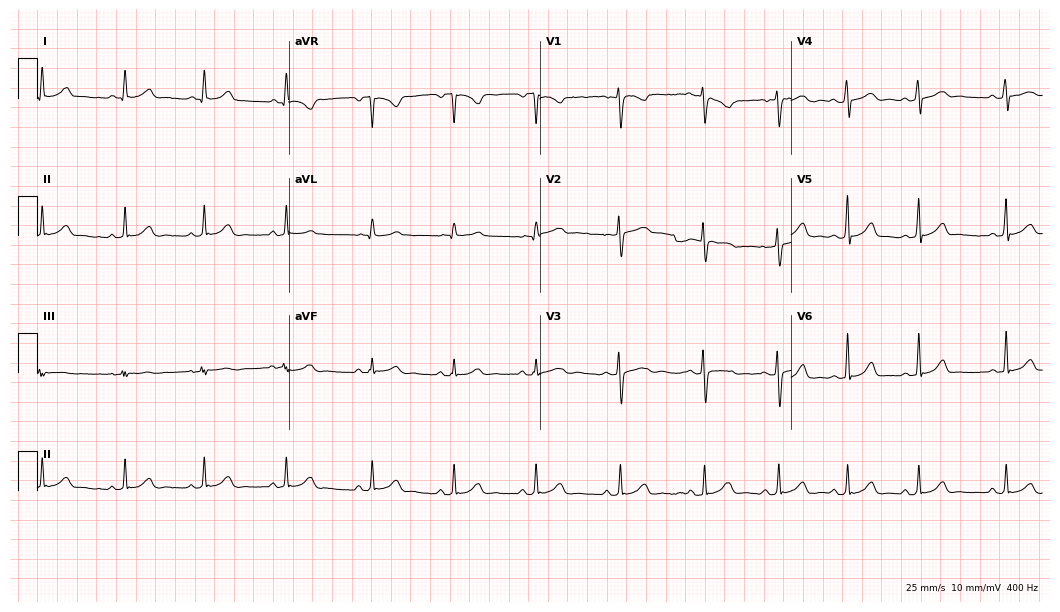
12-lead ECG from a female, 36 years old (10.2-second recording at 400 Hz). Recorded interpretation: within normal limits.